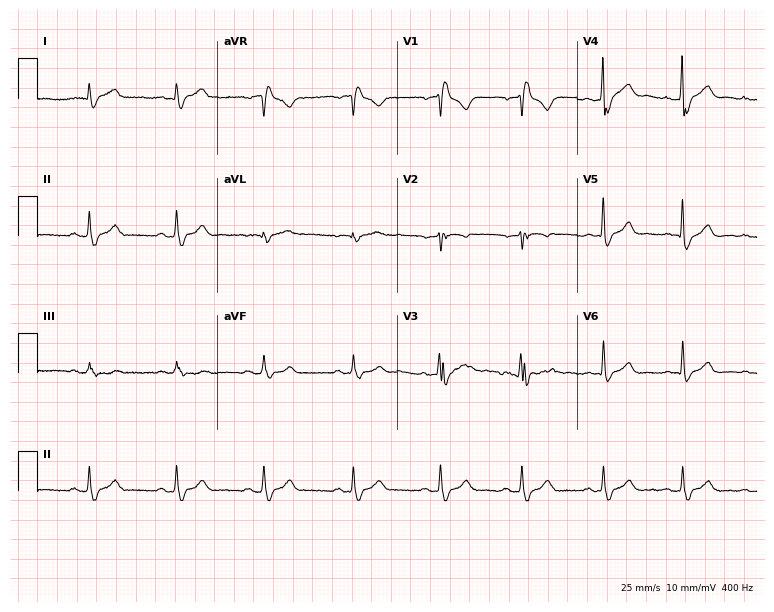
Standard 12-lead ECG recorded from a male patient, 50 years old. The tracing shows right bundle branch block.